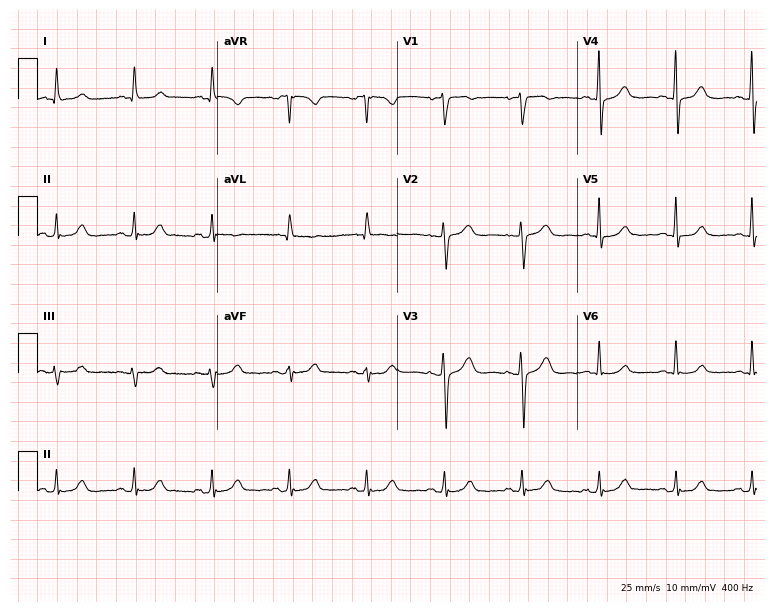
ECG — a female, 60 years old. Screened for six findings — first-degree AV block, right bundle branch block, left bundle branch block, sinus bradycardia, atrial fibrillation, sinus tachycardia — none is recorded. Findings outside these six are not listed.